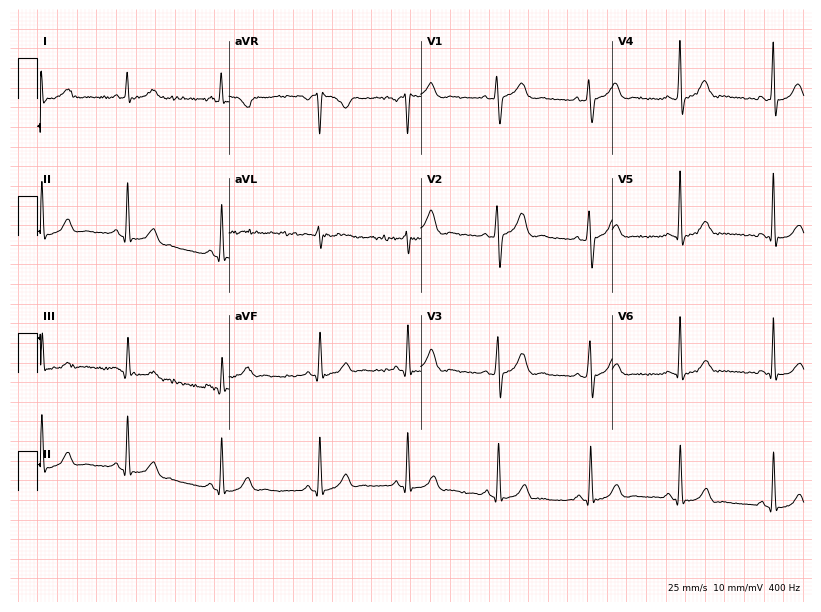
12-lead ECG from a man, 27 years old. Recorded interpretation: within normal limits.